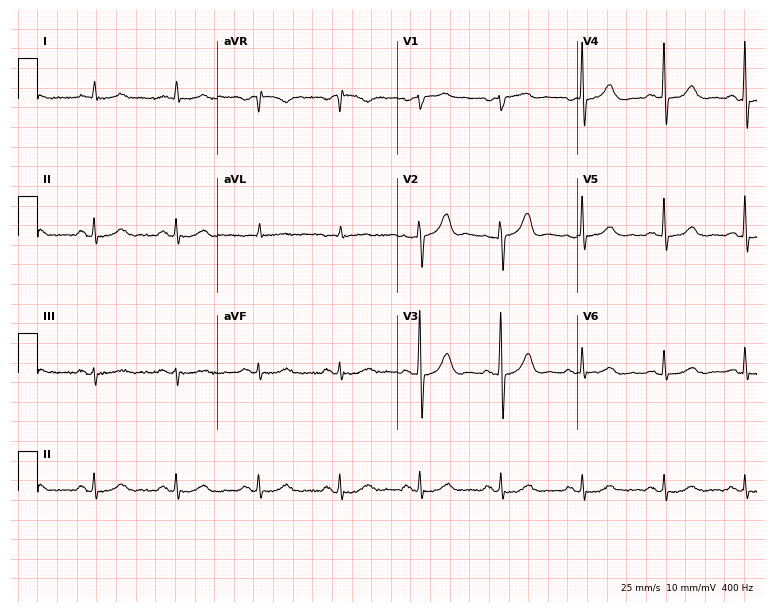
12-lead ECG from a male, 76 years old (7.3-second recording at 400 Hz). No first-degree AV block, right bundle branch block, left bundle branch block, sinus bradycardia, atrial fibrillation or sinus tachycardia recorded for this tracing. Findings outside these six are not listed.